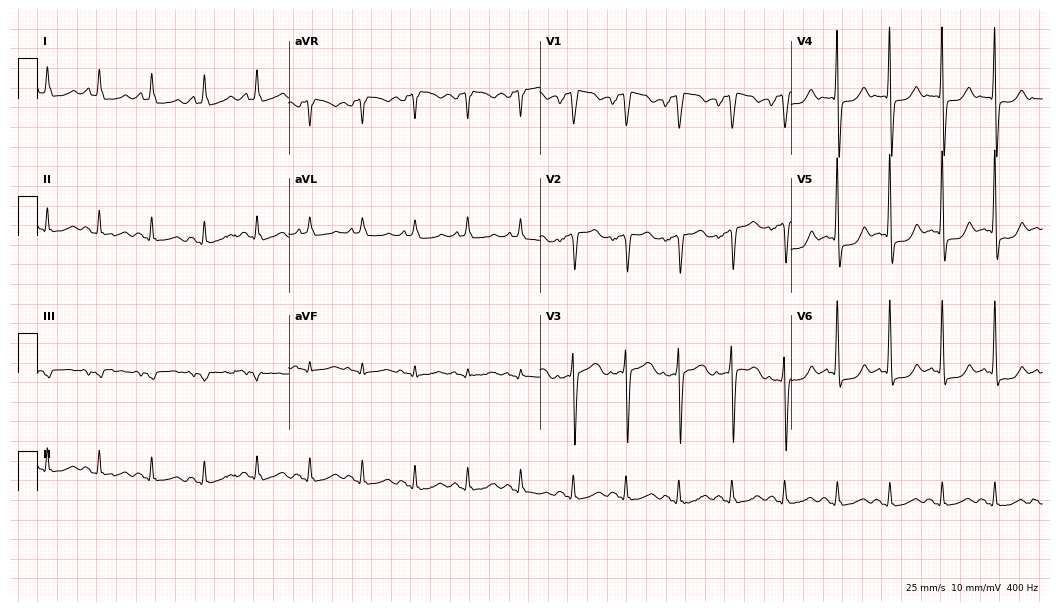
12-lead ECG from a man, 69 years old. Screened for six findings — first-degree AV block, right bundle branch block (RBBB), left bundle branch block (LBBB), sinus bradycardia, atrial fibrillation (AF), sinus tachycardia — none is recorded.